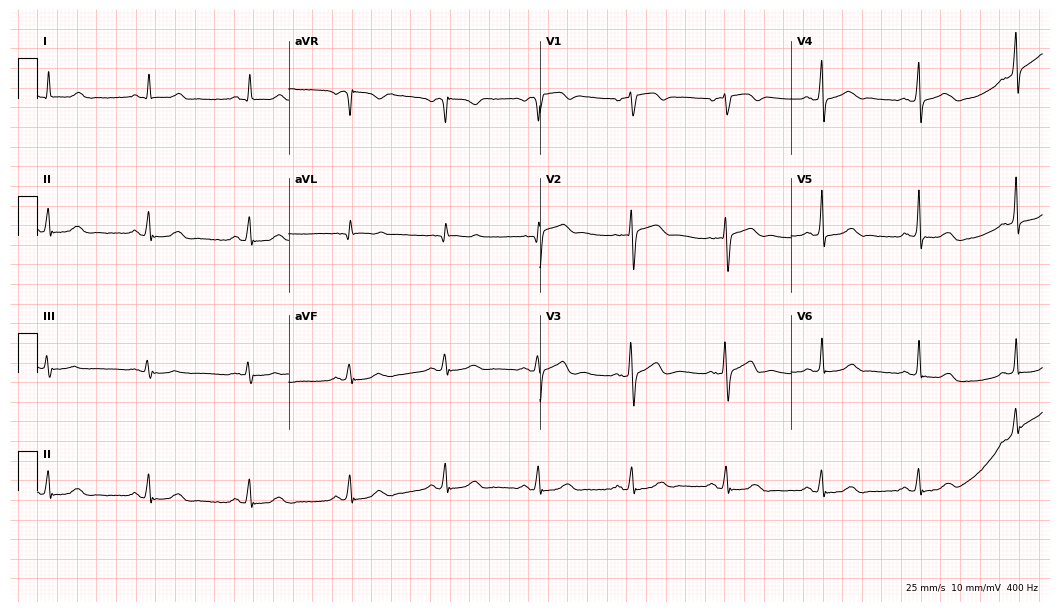
ECG — a 57-year-old male. Screened for six findings — first-degree AV block, right bundle branch block (RBBB), left bundle branch block (LBBB), sinus bradycardia, atrial fibrillation (AF), sinus tachycardia — none is recorded. Findings outside these six are not listed.